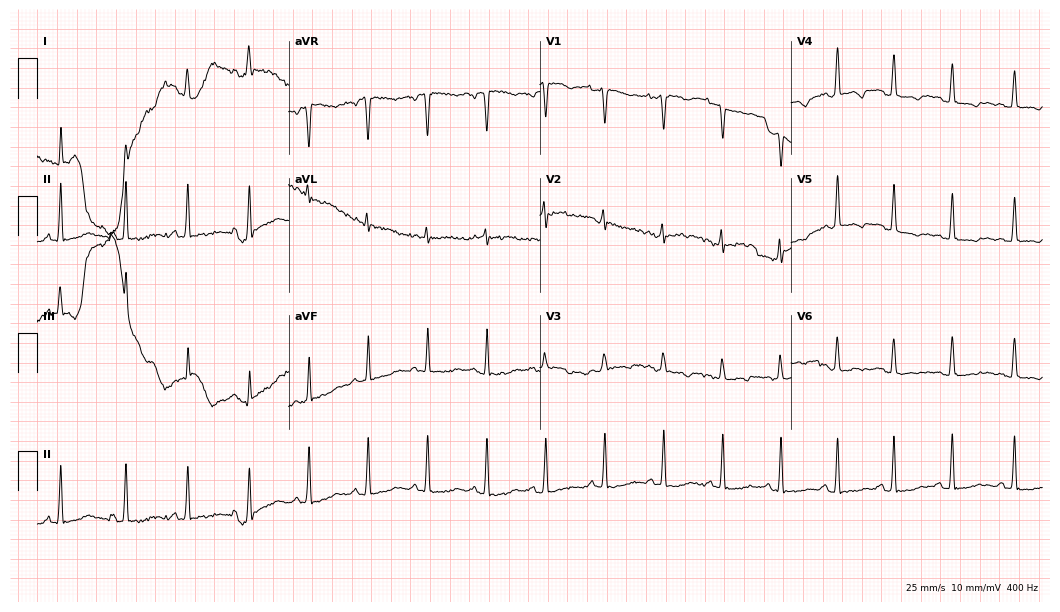
Resting 12-lead electrocardiogram (10.2-second recording at 400 Hz). Patient: a woman, 23 years old. None of these six findings is recorded: first-degree AV block, right bundle branch block, left bundle branch block, sinus bradycardia, atrial fibrillation, sinus tachycardia. Other findings, if any, are not listed.